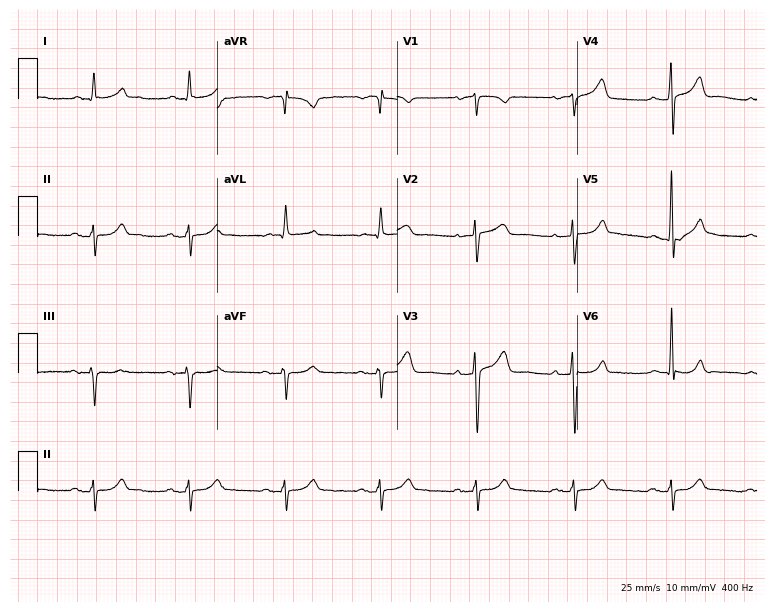
Standard 12-lead ECG recorded from an 88-year-old man (7.3-second recording at 400 Hz). None of these six findings is recorded: first-degree AV block, right bundle branch block, left bundle branch block, sinus bradycardia, atrial fibrillation, sinus tachycardia. Only these six findings were labelled.